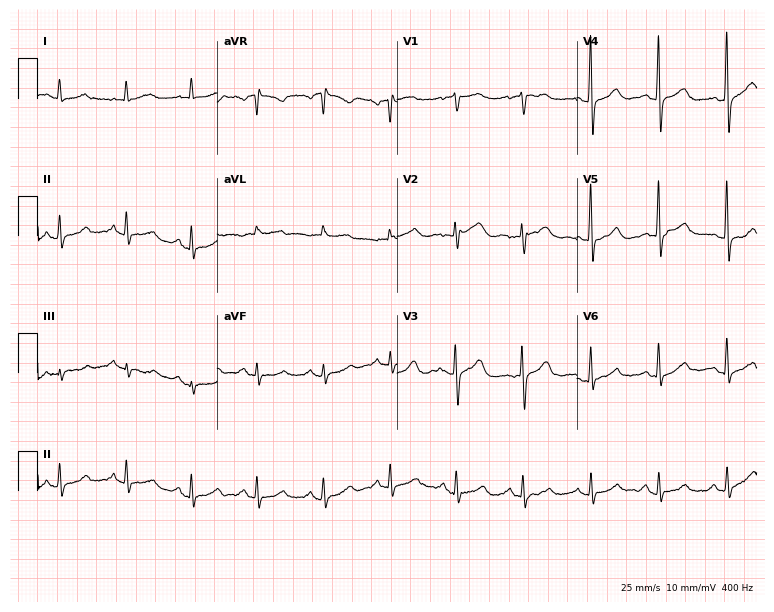
Resting 12-lead electrocardiogram. Patient: a 68-year-old female. None of these six findings is recorded: first-degree AV block, right bundle branch block (RBBB), left bundle branch block (LBBB), sinus bradycardia, atrial fibrillation (AF), sinus tachycardia.